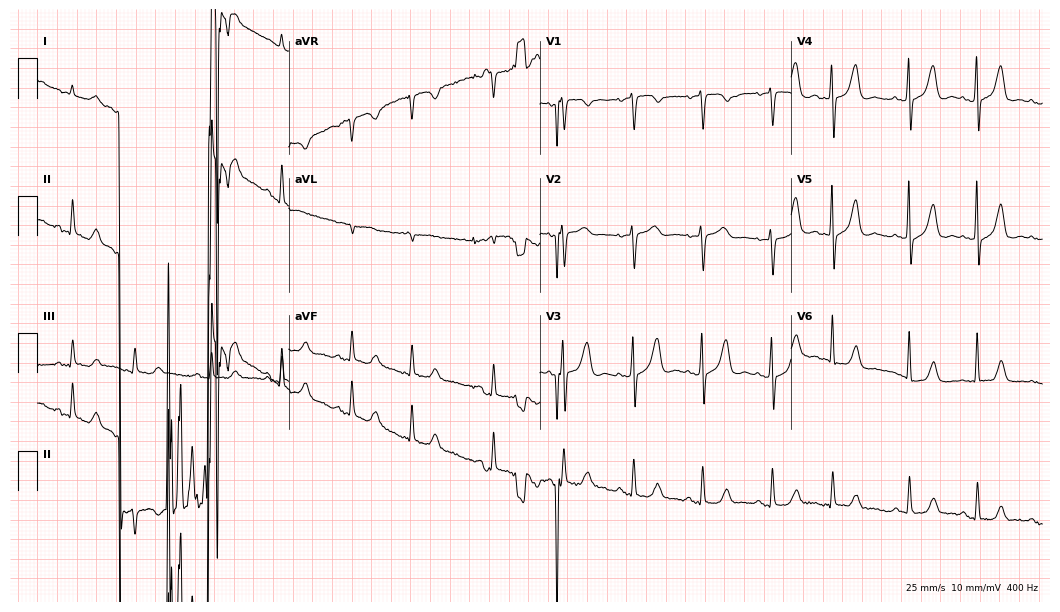
Resting 12-lead electrocardiogram. Patient: a 79-year-old female. None of these six findings is recorded: first-degree AV block, right bundle branch block, left bundle branch block, sinus bradycardia, atrial fibrillation, sinus tachycardia. Other findings, if any, are not listed.